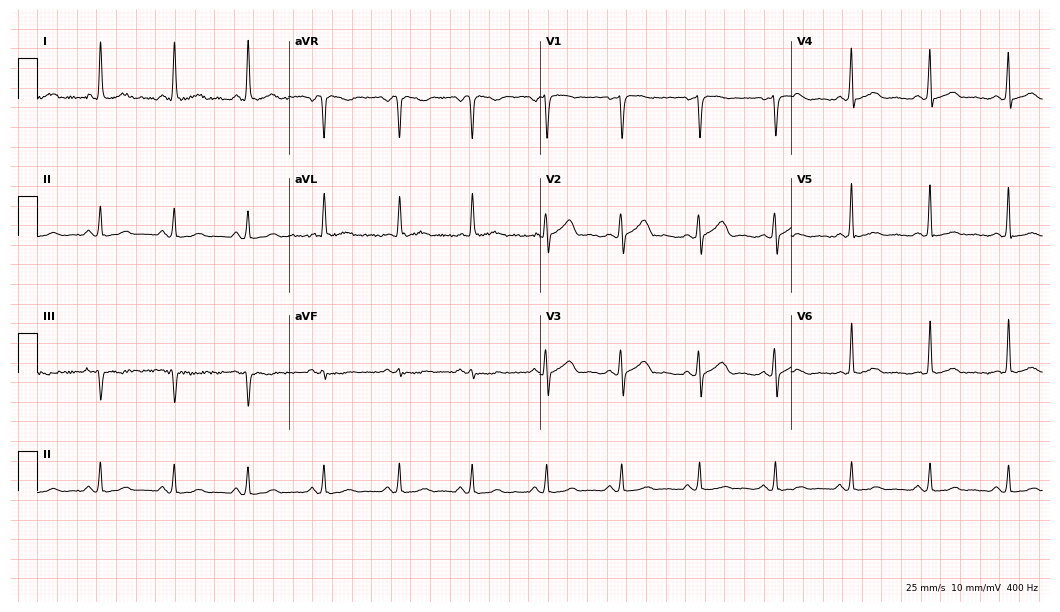
ECG — a female patient, 53 years old. Screened for six findings — first-degree AV block, right bundle branch block, left bundle branch block, sinus bradycardia, atrial fibrillation, sinus tachycardia — none is recorded. Only these six findings were labelled.